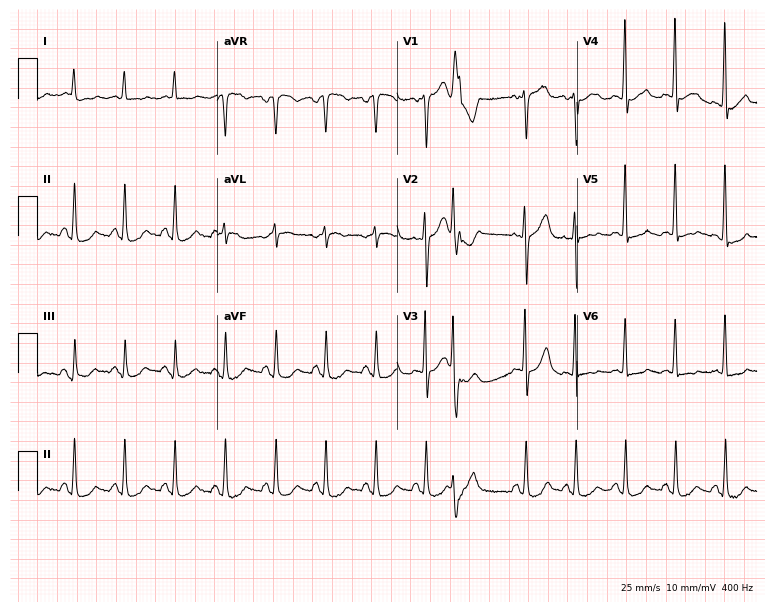
Resting 12-lead electrocardiogram (7.3-second recording at 400 Hz). Patient: a female, 85 years old. None of these six findings is recorded: first-degree AV block, right bundle branch block, left bundle branch block, sinus bradycardia, atrial fibrillation, sinus tachycardia.